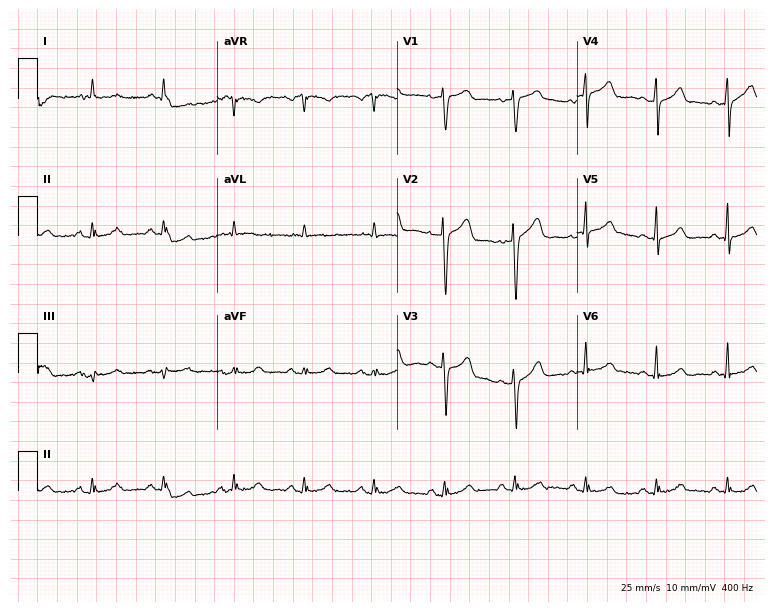
Standard 12-lead ECG recorded from a 52-year-old male patient (7.3-second recording at 400 Hz). None of these six findings is recorded: first-degree AV block, right bundle branch block (RBBB), left bundle branch block (LBBB), sinus bradycardia, atrial fibrillation (AF), sinus tachycardia.